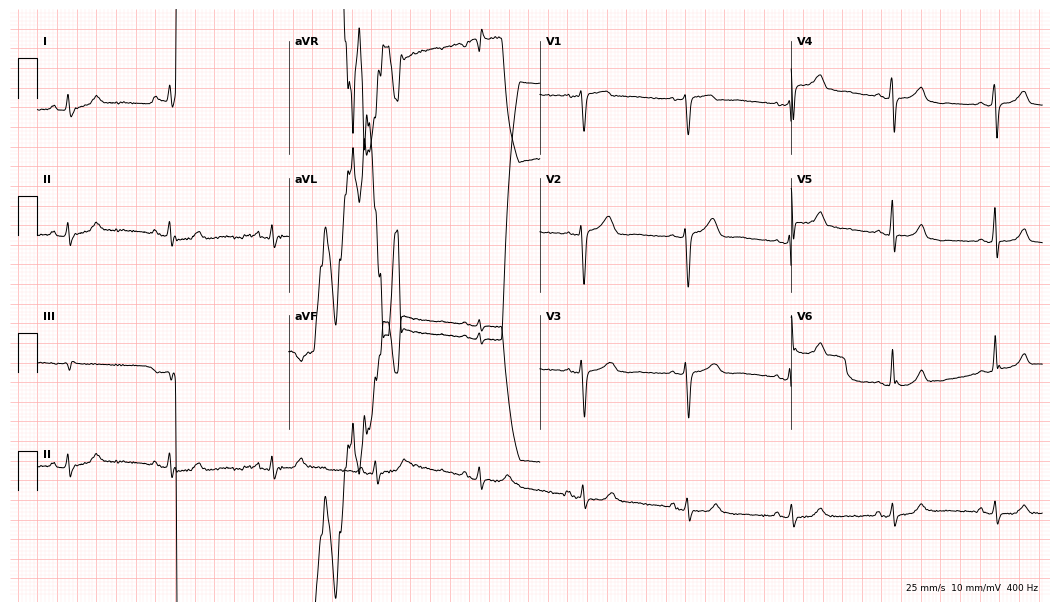
12-lead ECG from a 79-year-old female patient. Labelled as a normal ECG.